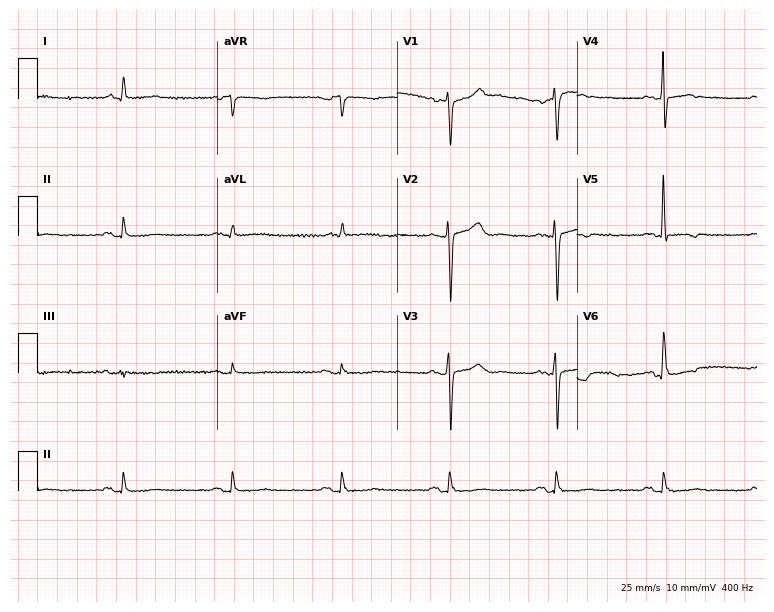
Standard 12-lead ECG recorded from a 65-year-old man. None of these six findings is recorded: first-degree AV block, right bundle branch block, left bundle branch block, sinus bradycardia, atrial fibrillation, sinus tachycardia.